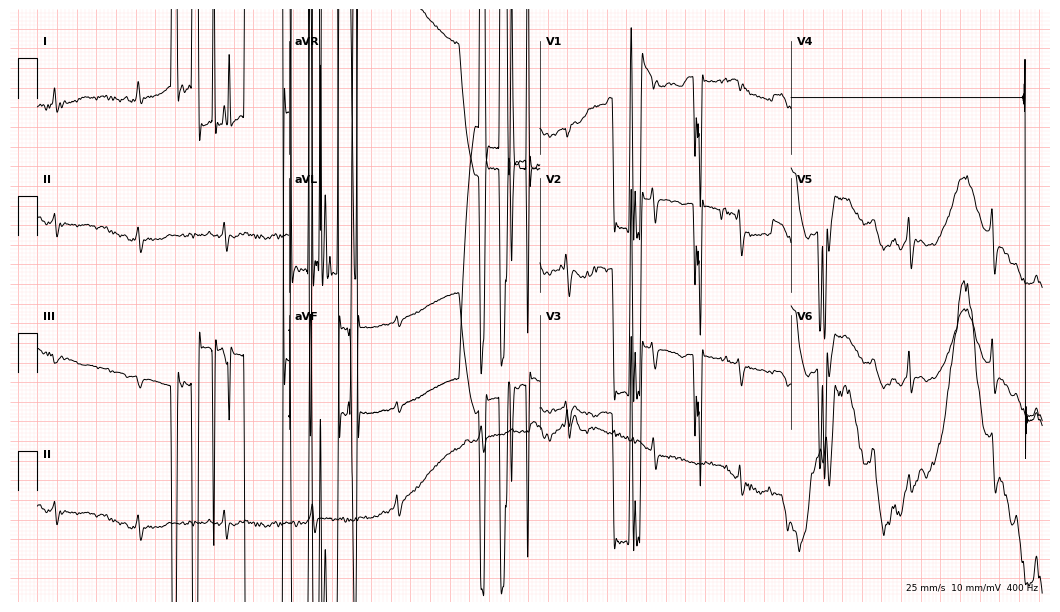
Electrocardiogram (10.2-second recording at 400 Hz), a 65-year-old female patient. Of the six screened findings (first-degree AV block, right bundle branch block, left bundle branch block, sinus bradycardia, atrial fibrillation, sinus tachycardia), none is recorded.